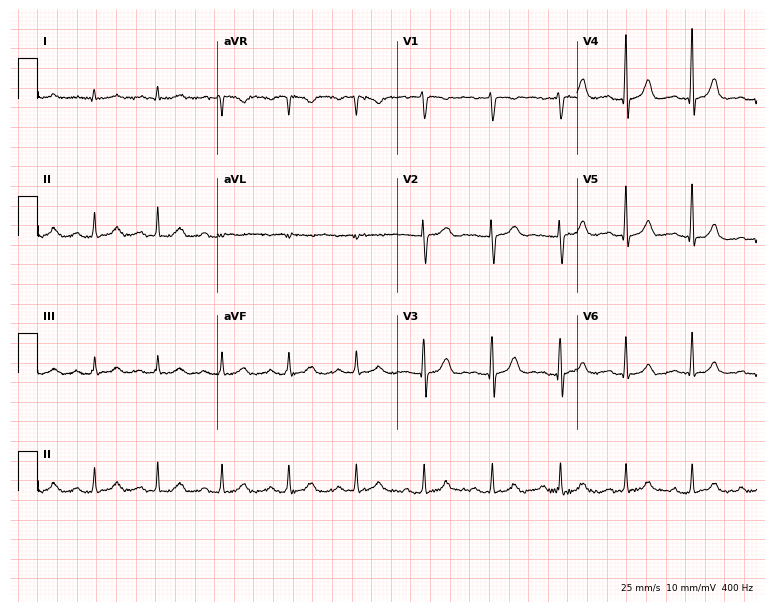
Resting 12-lead electrocardiogram (7.3-second recording at 400 Hz). Patient: a 23-year-old woman. The tracing shows first-degree AV block.